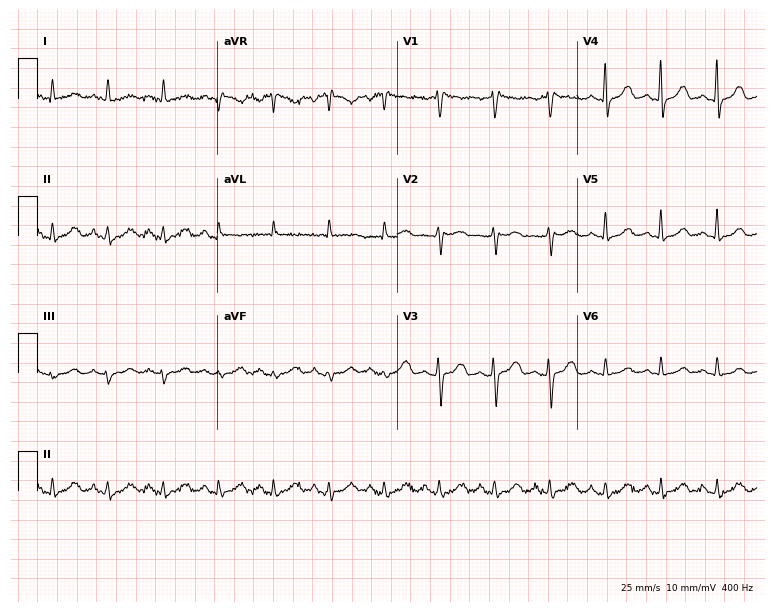
ECG (7.3-second recording at 400 Hz) — a female patient, 56 years old. Screened for six findings — first-degree AV block, right bundle branch block (RBBB), left bundle branch block (LBBB), sinus bradycardia, atrial fibrillation (AF), sinus tachycardia — none is recorded. Findings outside these six are not listed.